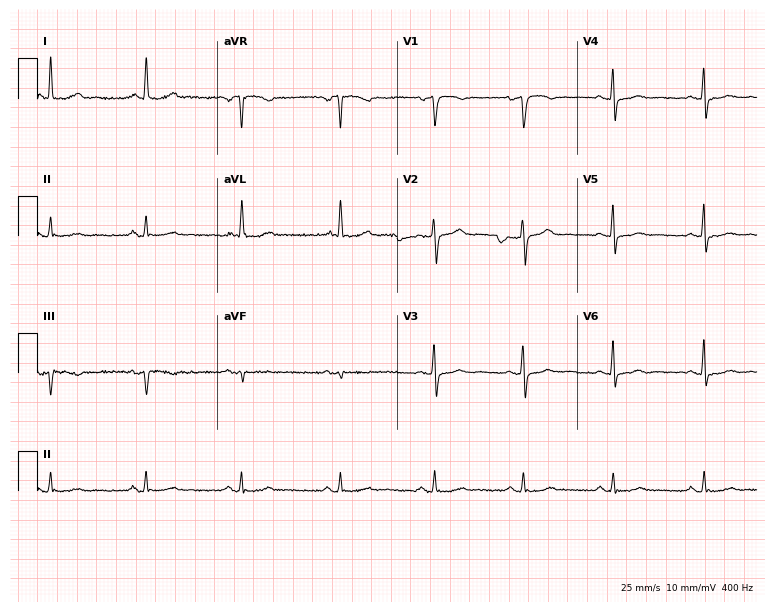
Electrocardiogram, a 53-year-old female. Of the six screened findings (first-degree AV block, right bundle branch block, left bundle branch block, sinus bradycardia, atrial fibrillation, sinus tachycardia), none is recorded.